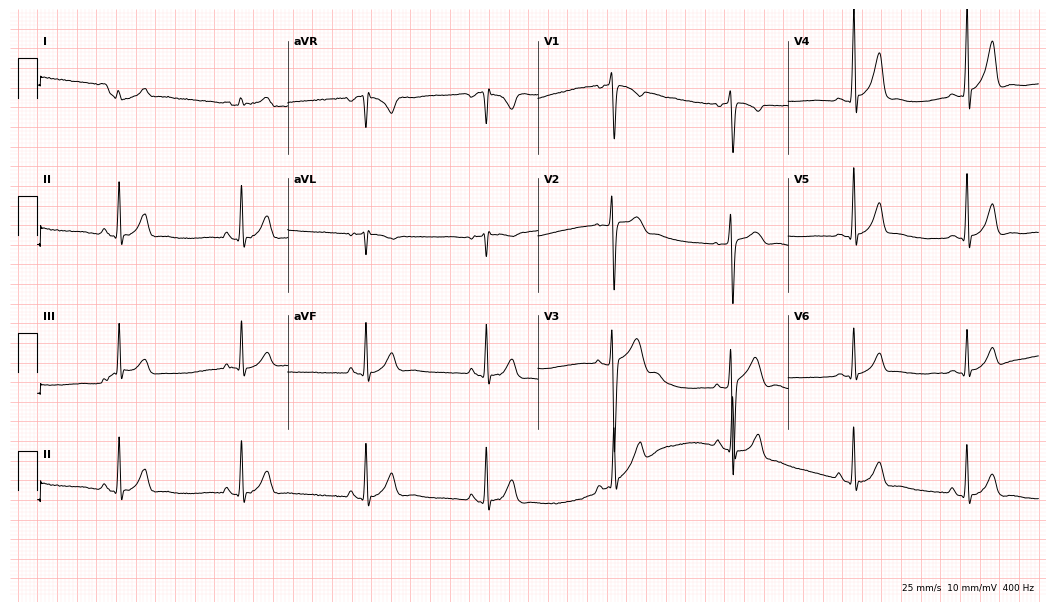
Electrocardiogram (10.2-second recording at 400 Hz), a male patient, 17 years old. Of the six screened findings (first-degree AV block, right bundle branch block, left bundle branch block, sinus bradycardia, atrial fibrillation, sinus tachycardia), none is recorded.